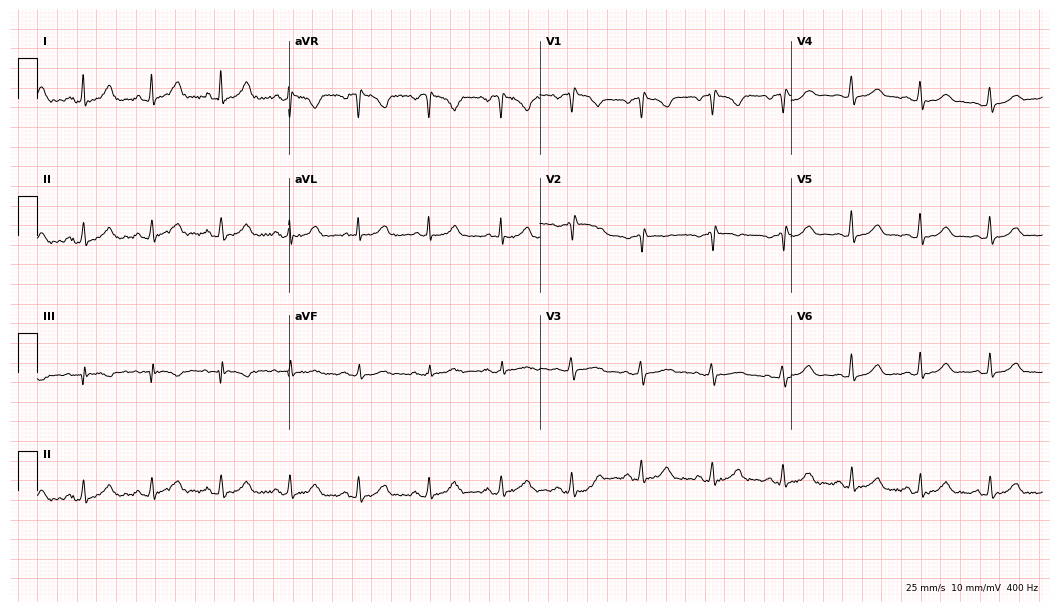
Standard 12-lead ECG recorded from a 36-year-old female (10.2-second recording at 400 Hz). None of these six findings is recorded: first-degree AV block, right bundle branch block, left bundle branch block, sinus bradycardia, atrial fibrillation, sinus tachycardia.